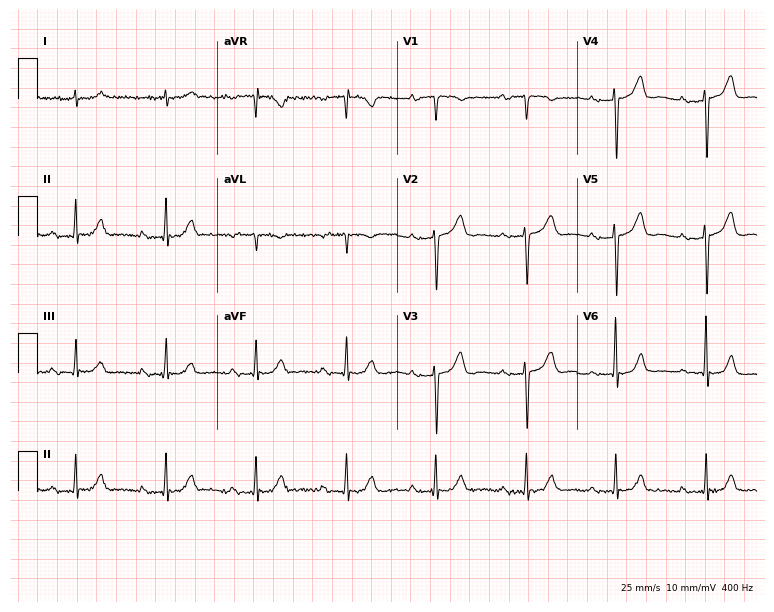
12-lead ECG (7.3-second recording at 400 Hz) from a female, 79 years old. Findings include first-degree AV block.